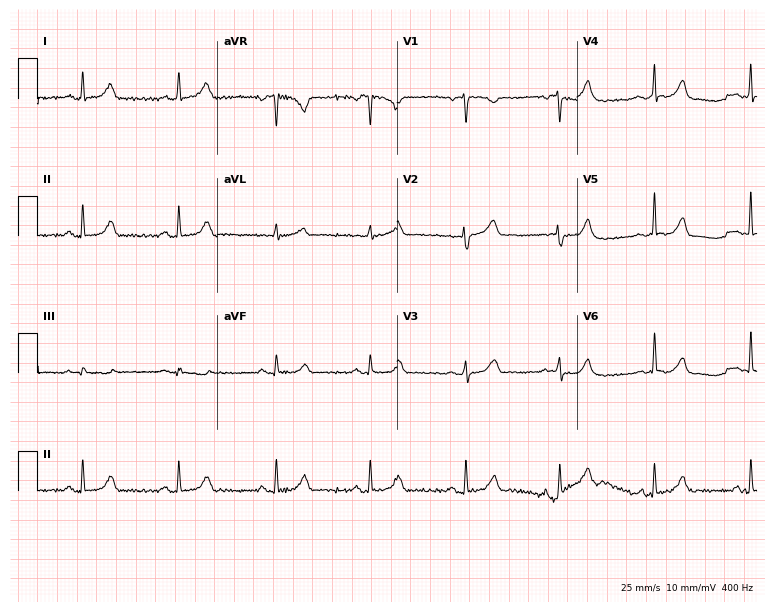
12-lead ECG (7.3-second recording at 400 Hz) from a female patient, 63 years old. Labelled as a normal ECG.